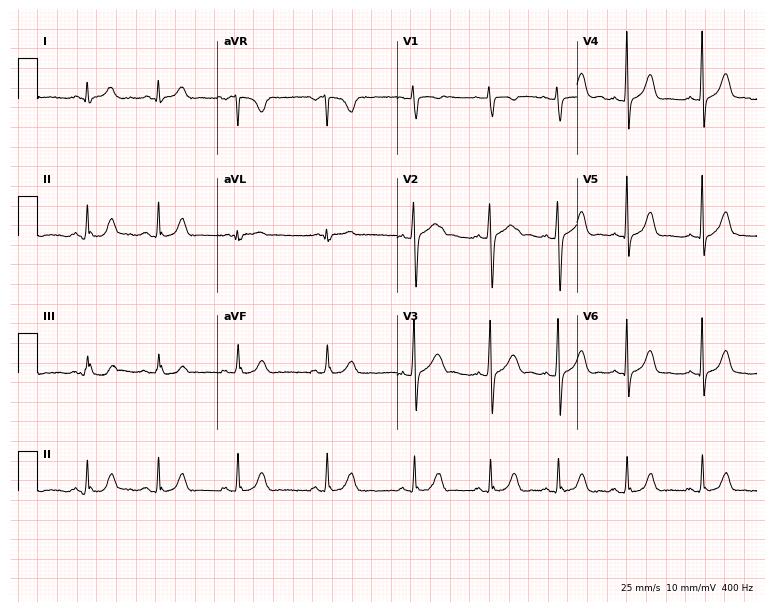
12-lead ECG (7.3-second recording at 400 Hz) from a female, 21 years old. Screened for six findings — first-degree AV block, right bundle branch block, left bundle branch block, sinus bradycardia, atrial fibrillation, sinus tachycardia — none is recorded.